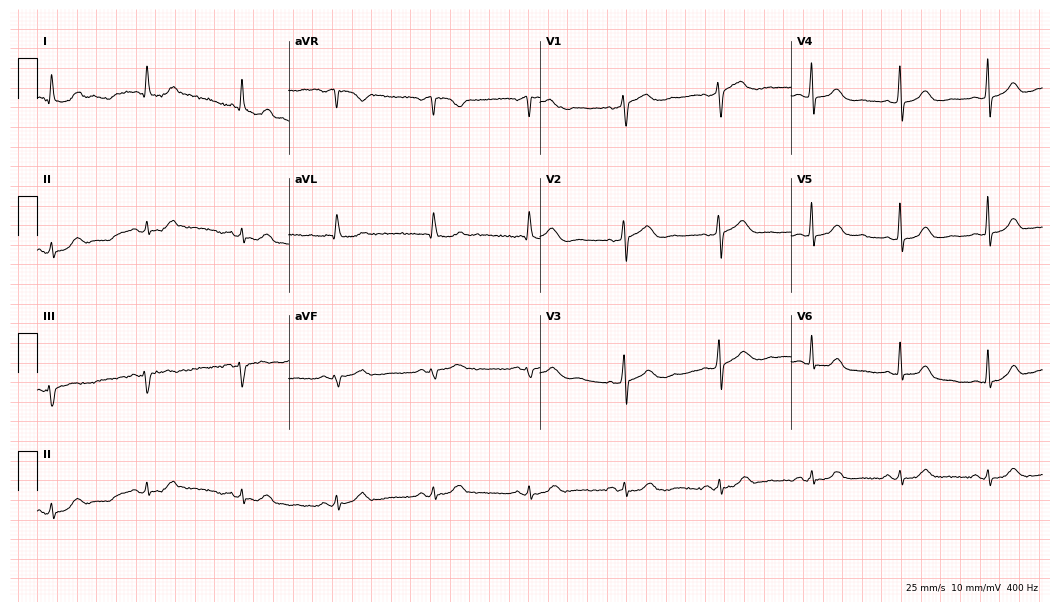
ECG (10.2-second recording at 400 Hz) — a woman, 64 years old. Labelled as a normal ECG.